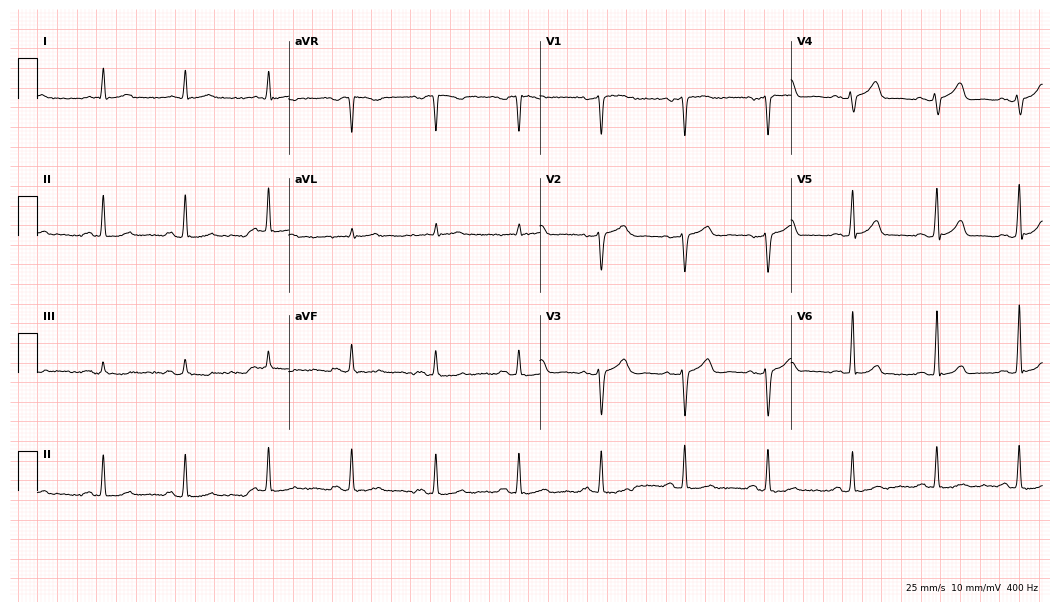
Electrocardiogram (10.2-second recording at 400 Hz), a female patient, 54 years old. Of the six screened findings (first-degree AV block, right bundle branch block, left bundle branch block, sinus bradycardia, atrial fibrillation, sinus tachycardia), none is recorded. Only these six findings were labelled.